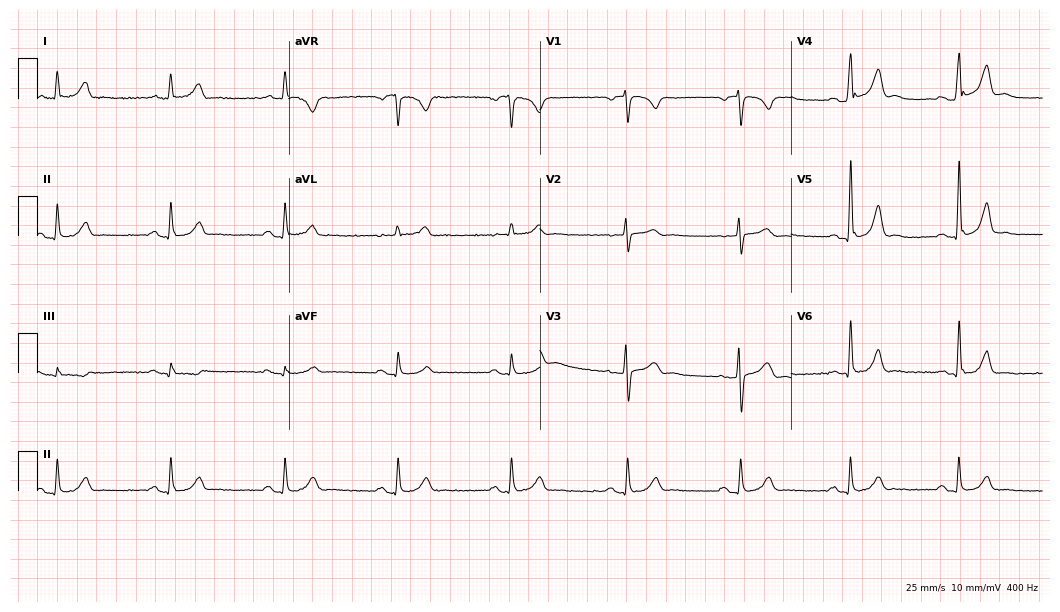
Standard 12-lead ECG recorded from a male patient, 46 years old (10.2-second recording at 400 Hz). Read as a normal ECG.